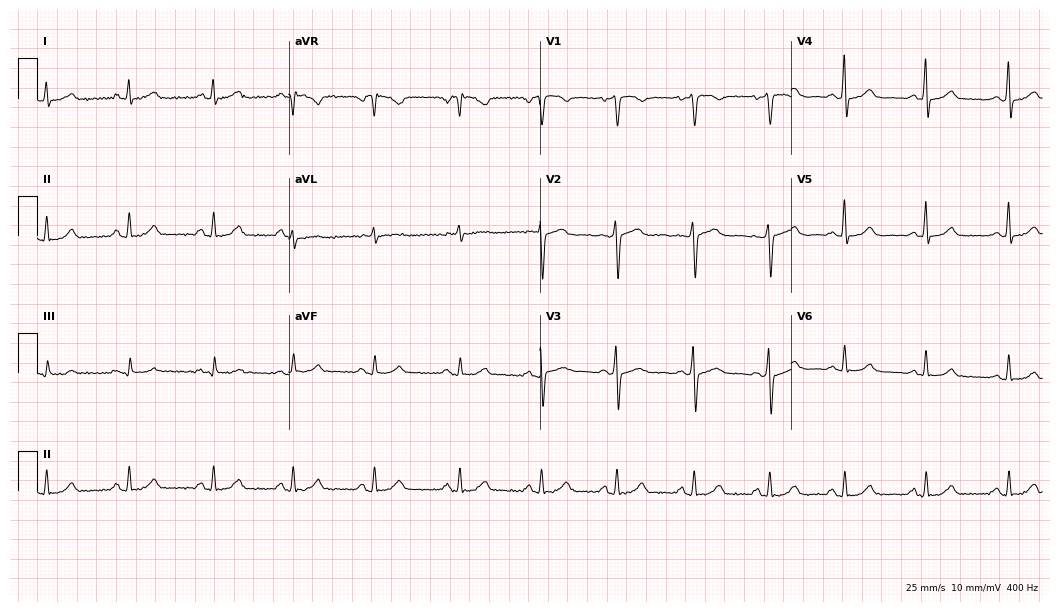
12-lead ECG from a female, 59 years old (10.2-second recording at 400 Hz). Recorded interpretation: within normal limits.